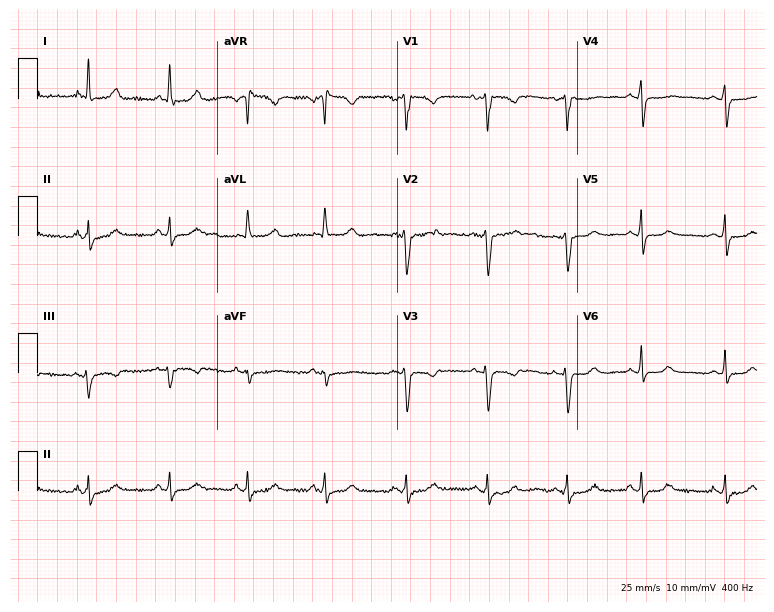
Electrocardiogram, a 41-year-old female. Of the six screened findings (first-degree AV block, right bundle branch block (RBBB), left bundle branch block (LBBB), sinus bradycardia, atrial fibrillation (AF), sinus tachycardia), none is recorded. Other findings, if any, are not listed.